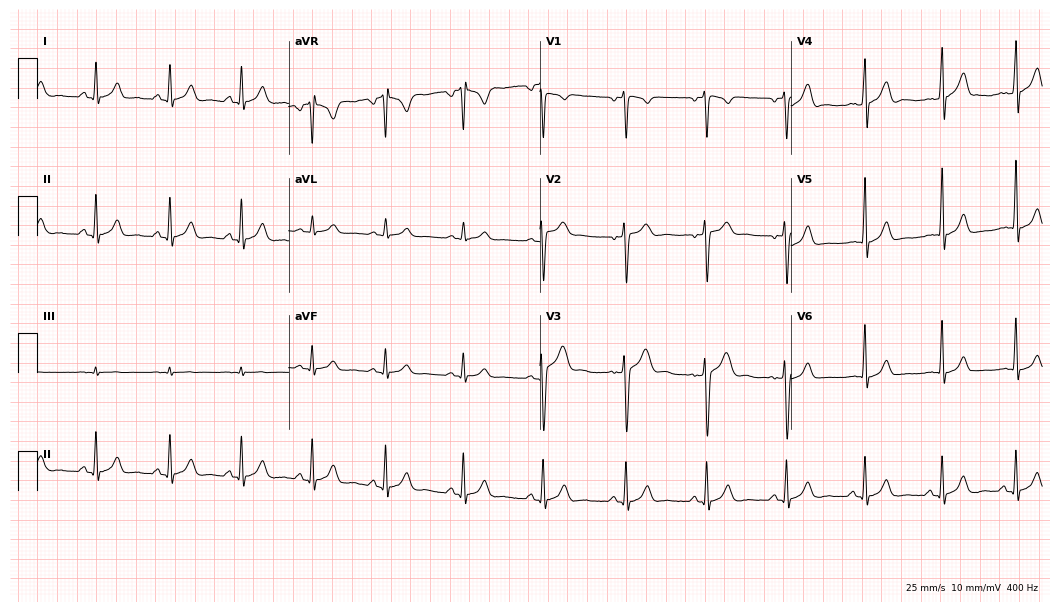
Electrocardiogram, a male patient, 34 years old. Overall reading on record: normal ECG.